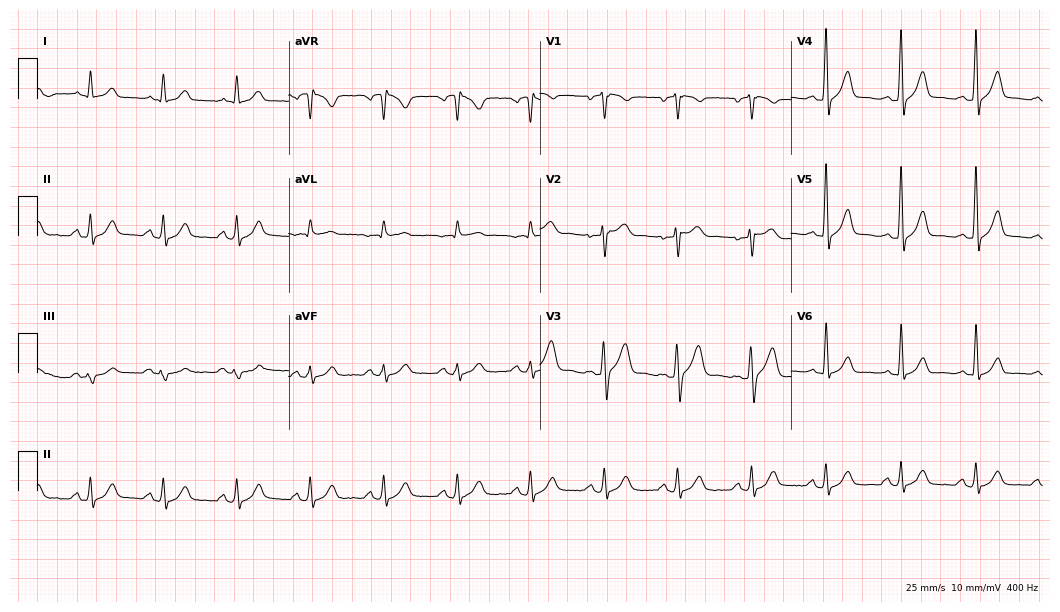
12-lead ECG from a man, 43 years old (10.2-second recording at 400 Hz). Recorded interpretation: within normal limits.